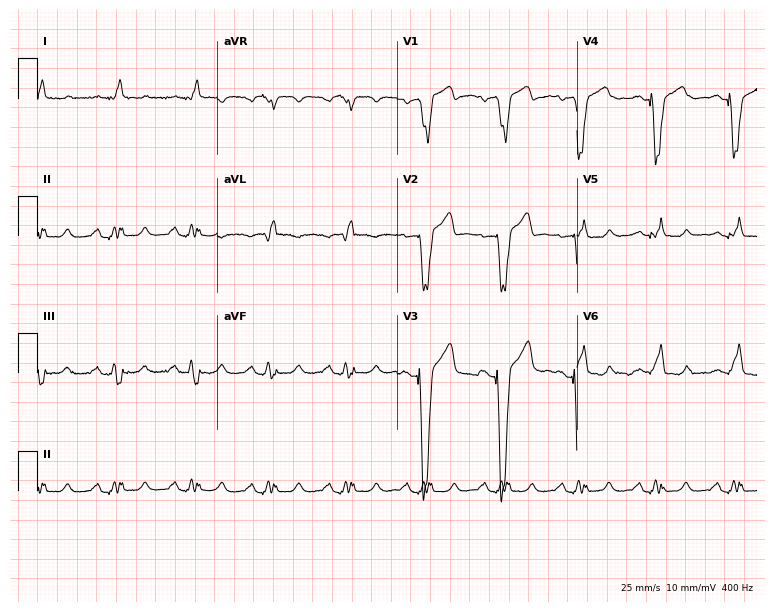
Resting 12-lead electrocardiogram (7.3-second recording at 400 Hz). Patient: a 68-year-old man. The tracing shows left bundle branch block.